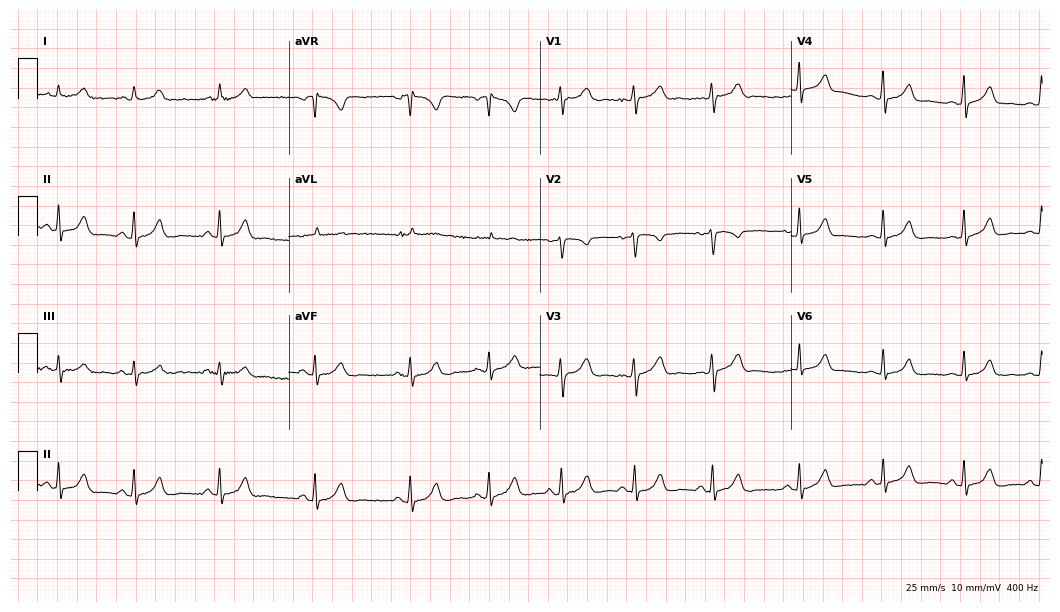
12-lead ECG from a female, 23 years old (10.2-second recording at 400 Hz). No first-degree AV block, right bundle branch block, left bundle branch block, sinus bradycardia, atrial fibrillation or sinus tachycardia recorded for this tracing. Other findings, if any, are not listed.